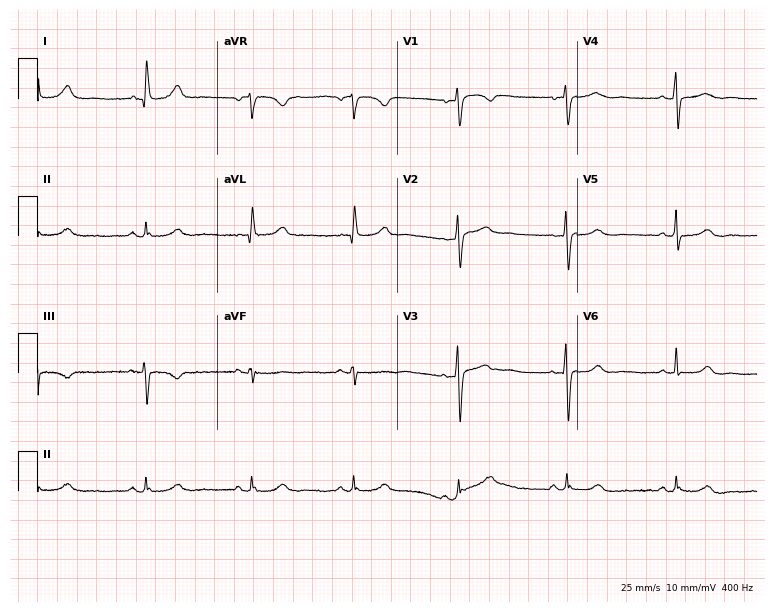
12-lead ECG from a 52-year-old female patient (7.3-second recording at 400 Hz). Recorded interpretation: within normal limits.